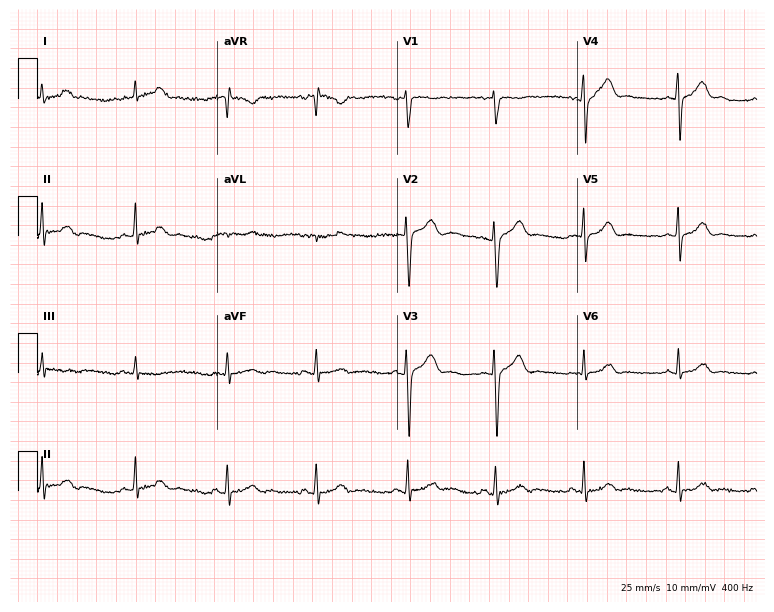
12-lead ECG (7.3-second recording at 400 Hz) from an 18-year-old female patient. Labelled as a normal ECG.